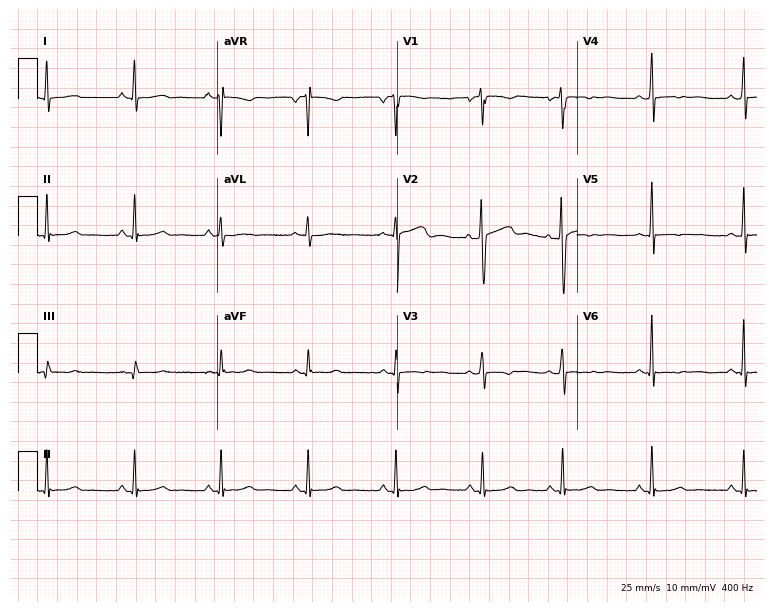
12-lead ECG (7.3-second recording at 400 Hz) from a 32-year-old woman. Screened for six findings — first-degree AV block, right bundle branch block (RBBB), left bundle branch block (LBBB), sinus bradycardia, atrial fibrillation (AF), sinus tachycardia — none is recorded.